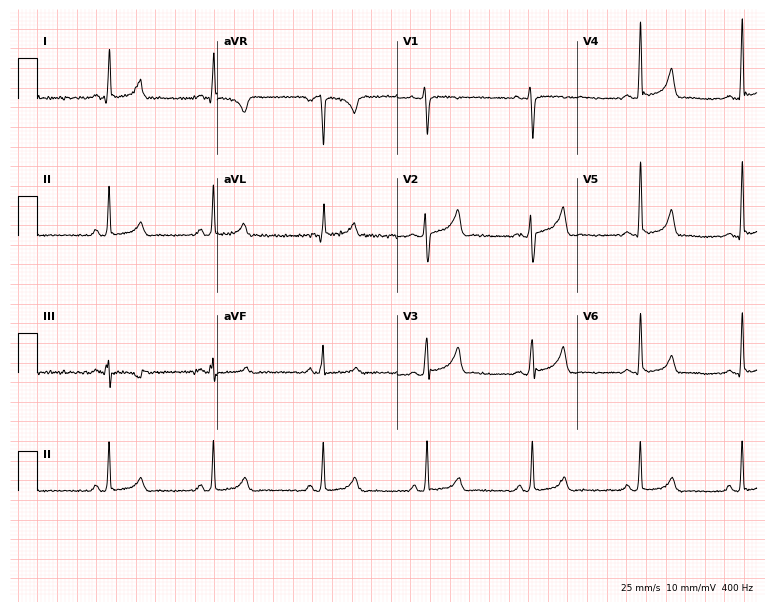
ECG (7.3-second recording at 400 Hz) — a woman, 35 years old. Screened for six findings — first-degree AV block, right bundle branch block, left bundle branch block, sinus bradycardia, atrial fibrillation, sinus tachycardia — none is recorded. Only these six findings were labelled.